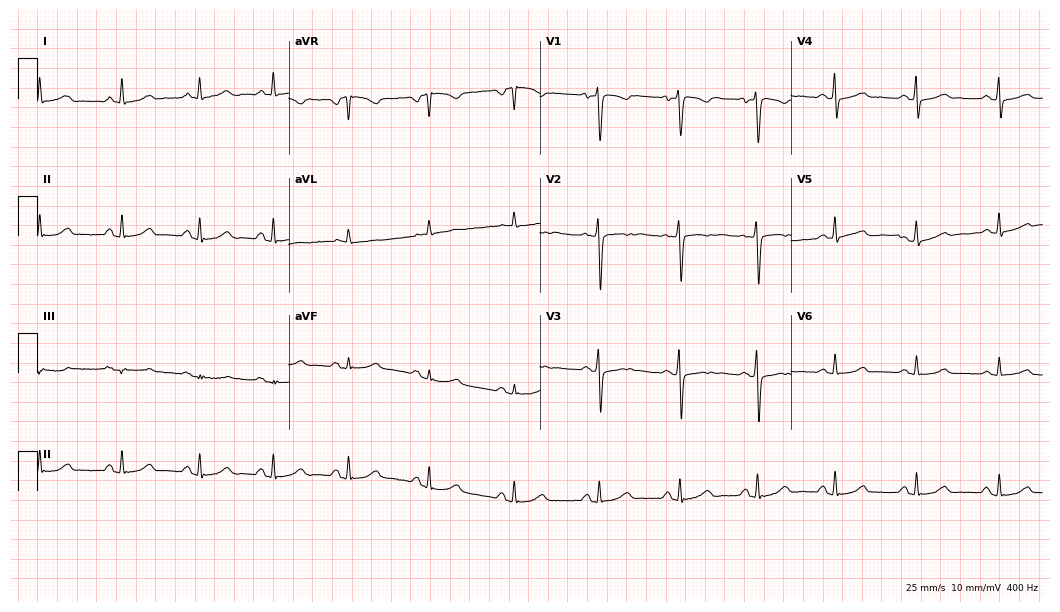
Standard 12-lead ECG recorded from a 27-year-old female patient (10.2-second recording at 400 Hz). None of these six findings is recorded: first-degree AV block, right bundle branch block, left bundle branch block, sinus bradycardia, atrial fibrillation, sinus tachycardia. Other findings, if any, are not listed.